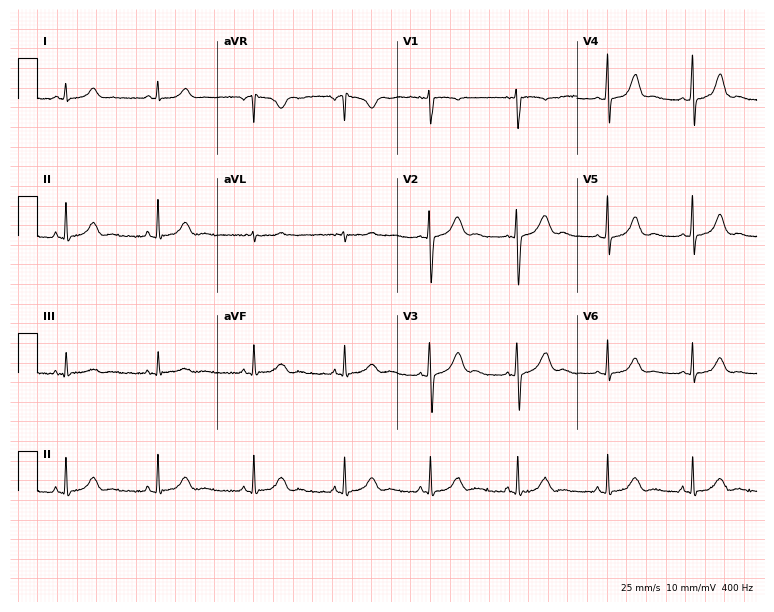
Electrocardiogram, a 19-year-old woman. Overall reading on record: normal ECG.